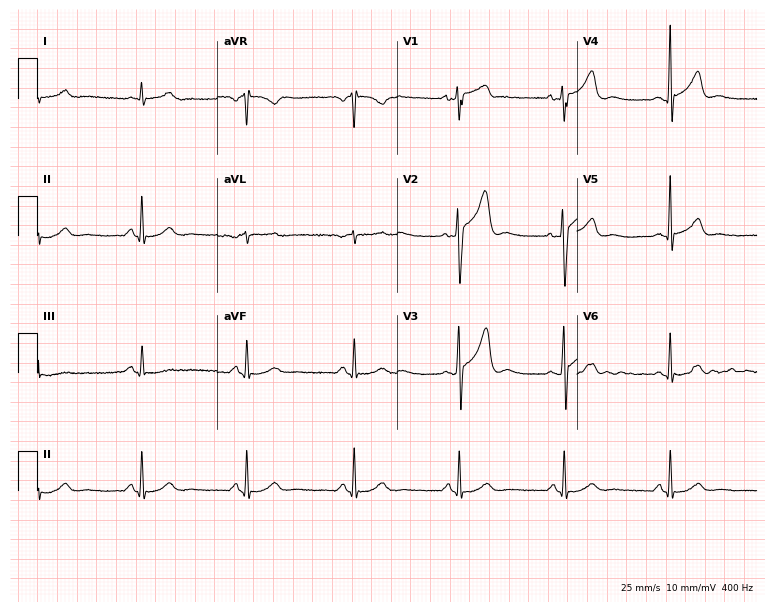
12-lead ECG from a man, 54 years old. Screened for six findings — first-degree AV block, right bundle branch block (RBBB), left bundle branch block (LBBB), sinus bradycardia, atrial fibrillation (AF), sinus tachycardia — none is recorded.